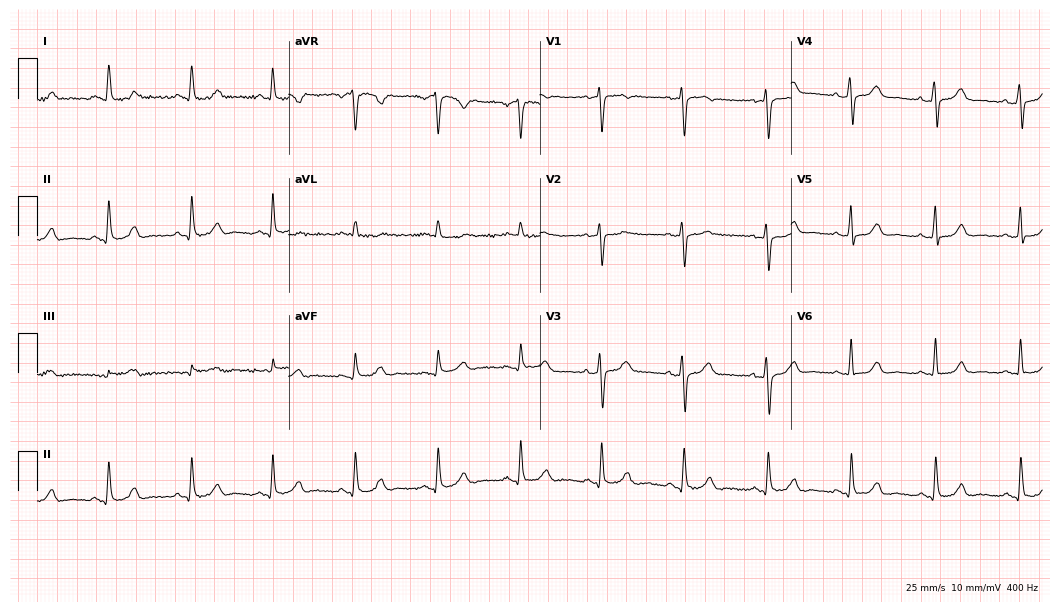
Standard 12-lead ECG recorded from a woman, 51 years old. Read as a normal ECG.